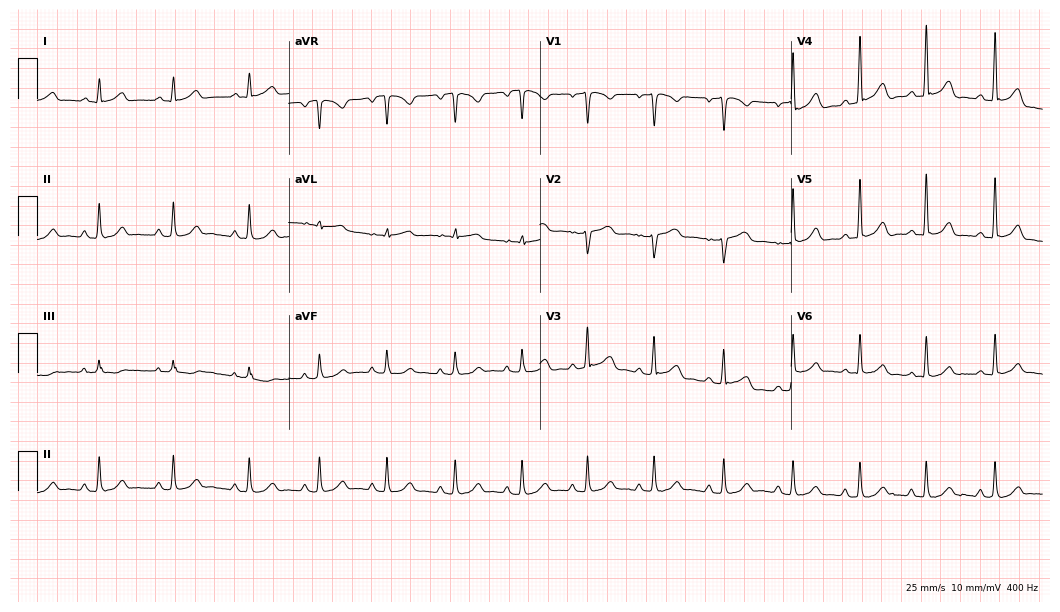
Electrocardiogram, a female patient, 21 years old. Overall reading on record: normal ECG.